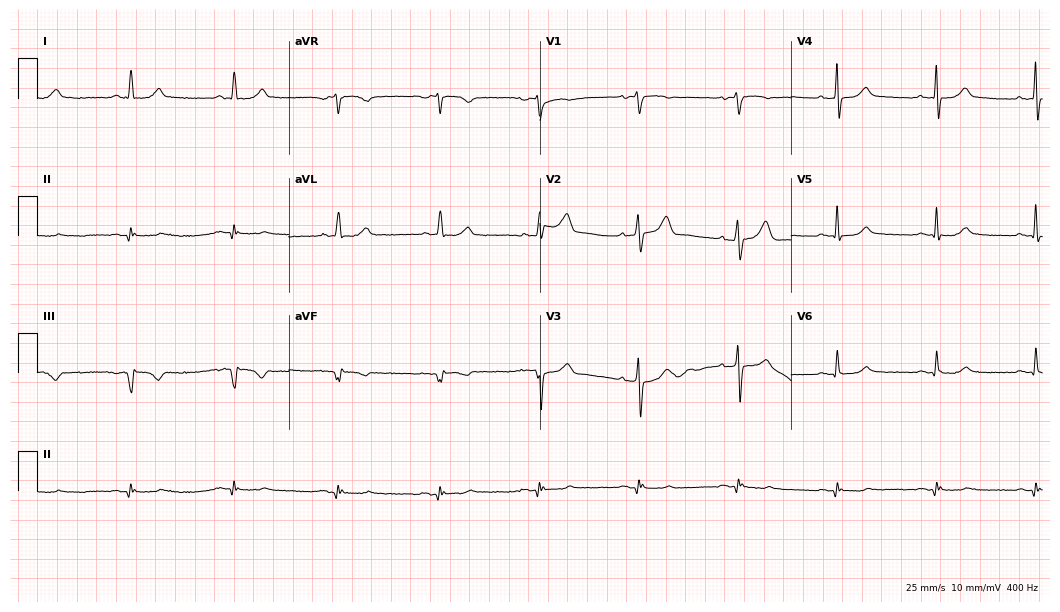
Electrocardiogram (10.2-second recording at 400 Hz), a 71-year-old male. Of the six screened findings (first-degree AV block, right bundle branch block, left bundle branch block, sinus bradycardia, atrial fibrillation, sinus tachycardia), none is recorded. Findings outside these six are not listed.